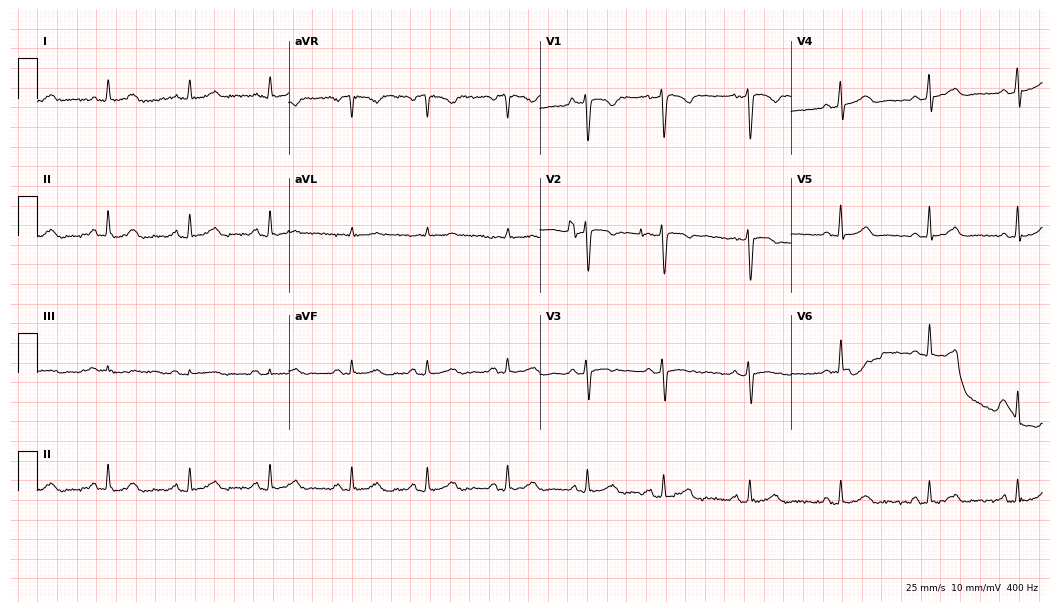
12-lead ECG (10.2-second recording at 400 Hz) from a 26-year-old female patient. Screened for six findings — first-degree AV block, right bundle branch block, left bundle branch block, sinus bradycardia, atrial fibrillation, sinus tachycardia — none is recorded.